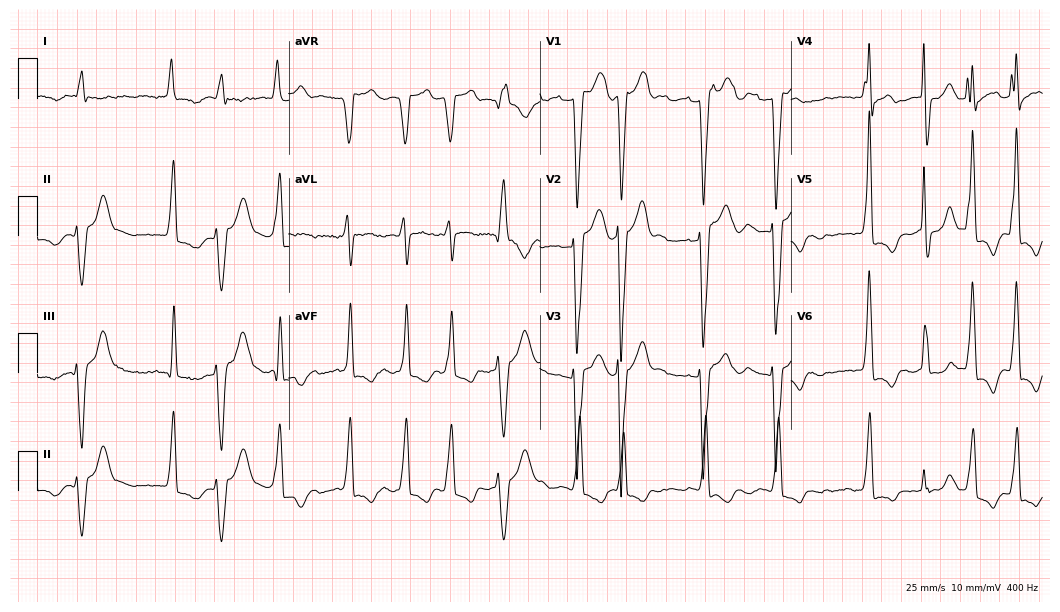
Electrocardiogram (10.2-second recording at 400 Hz), a woman, 84 years old. Interpretation includes left bundle branch block, atrial fibrillation.